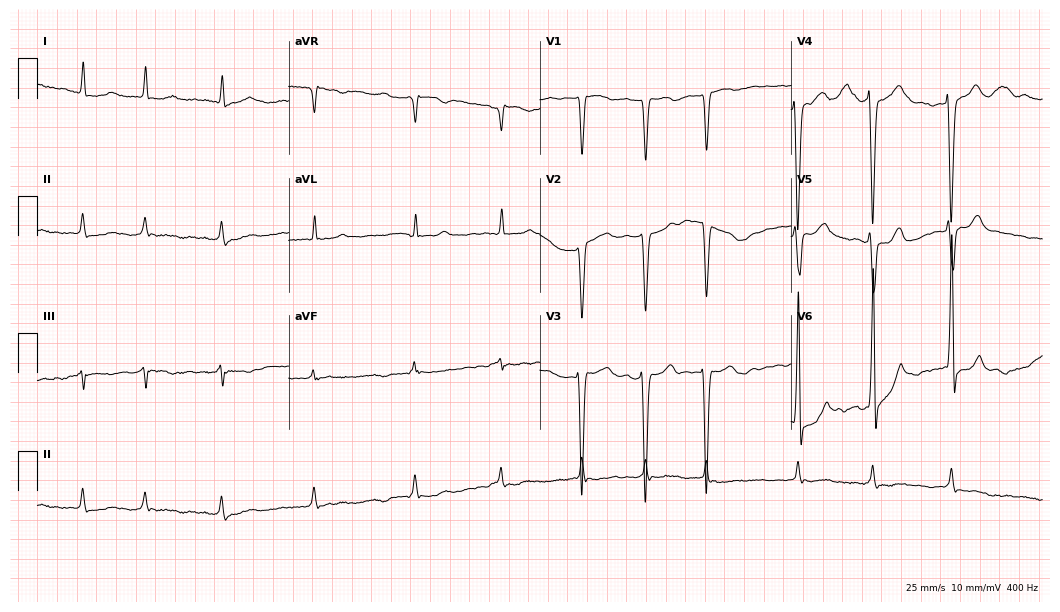
Resting 12-lead electrocardiogram. Patient: an 80-year-old man. The tracing shows atrial fibrillation.